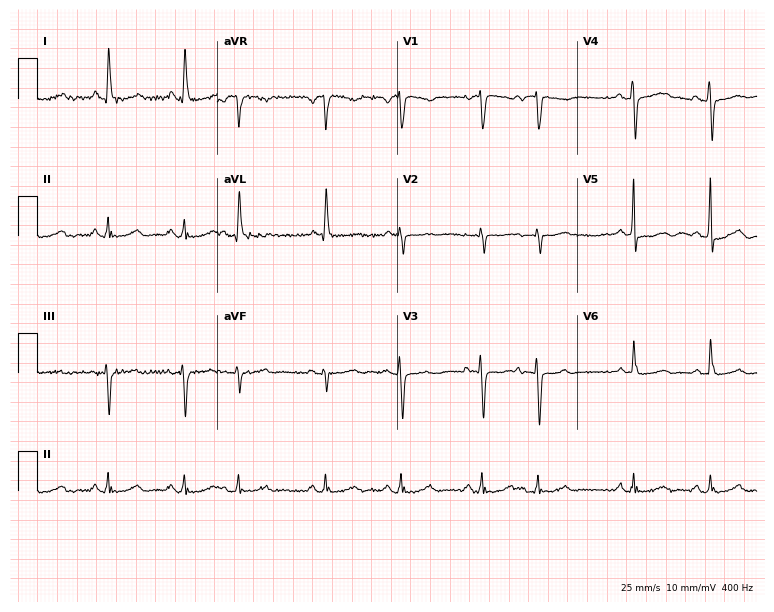
ECG — a female patient, 73 years old. Screened for six findings — first-degree AV block, right bundle branch block, left bundle branch block, sinus bradycardia, atrial fibrillation, sinus tachycardia — none is recorded.